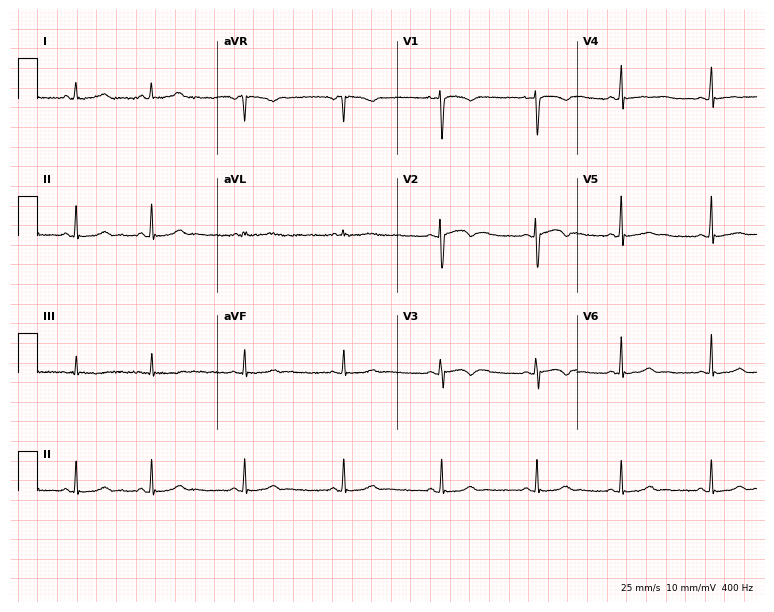
ECG — a woman, 17 years old. Screened for six findings — first-degree AV block, right bundle branch block, left bundle branch block, sinus bradycardia, atrial fibrillation, sinus tachycardia — none is recorded.